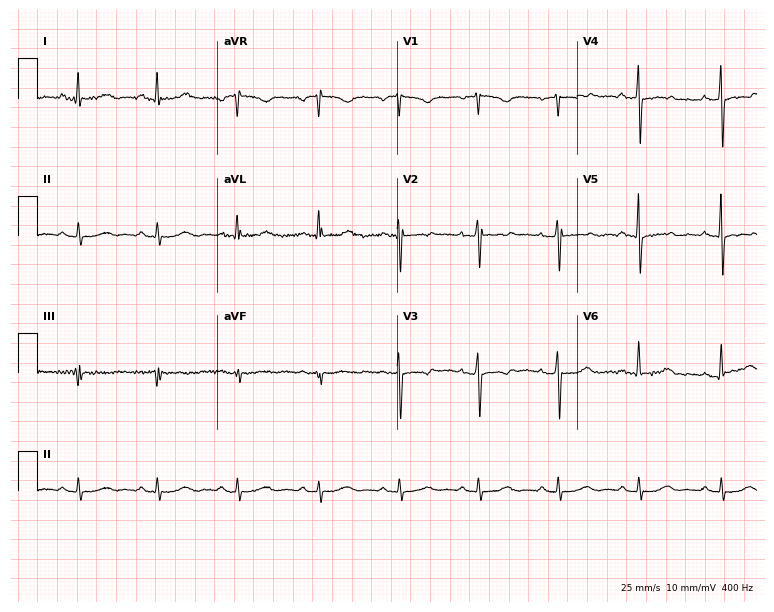
12-lead ECG from a 38-year-old female patient. Screened for six findings — first-degree AV block, right bundle branch block (RBBB), left bundle branch block (LBBB), sinus bradycardia, atrial fibrillation (AF), sinus tachycardia — none is recorded.